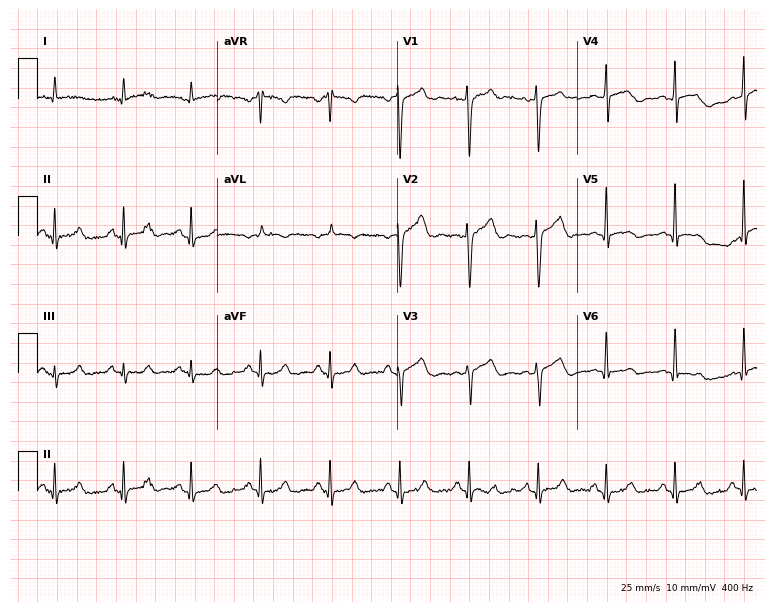
Standard 12-lead ECG recorded from a 43-year-old man. None of these six findings is recorded: first-degree AV block, right bundle branch block (RBBB), left bundle branch block (LBBB), sinus bradycardia, atrial fibrillation (AF), sinus tachycardia.